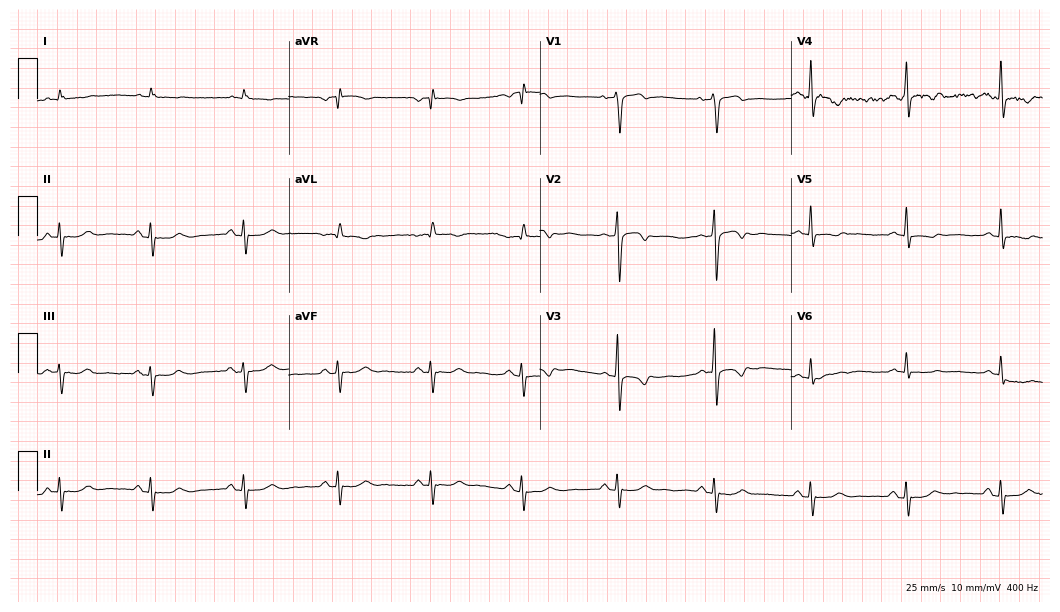
Resting 12-lead electrocardiogram (10.2-second recording at 400 Hz). Patient: a man, 64 years old. None of these six findings is recorded: first-degree AV block, right bundle branch block, left bundle branch block, sinus bradycardia, atrial fibrillation, sinus tachycardia. Findings outside these six are not listed.